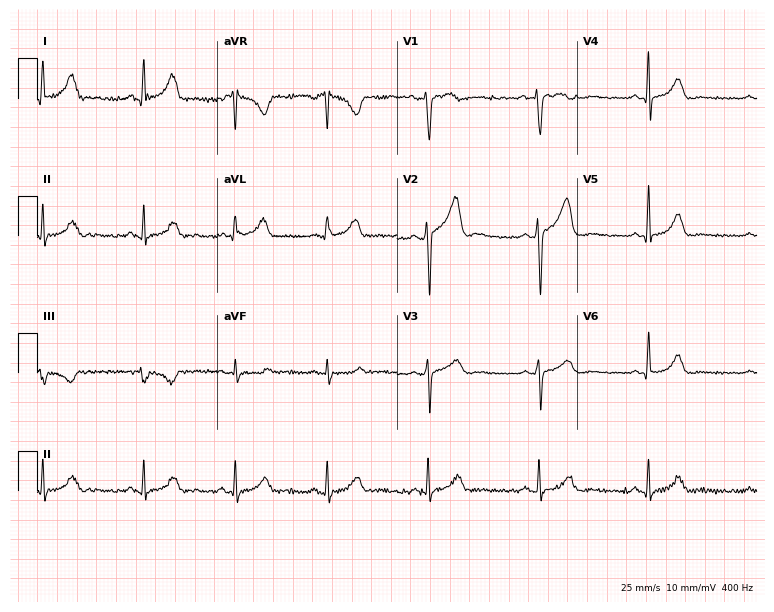
Resting 12-lead electrocardiogram (7.3-second recording at 400 Hz). Patient: a 56-year-old female. None of these six findings is recorded: first-degree AV block, right bundle branch block, left bundle branch block, sinus bradycardia, atrial fibrillation, sinus tachycardia. Other findings, if any, are not listed.